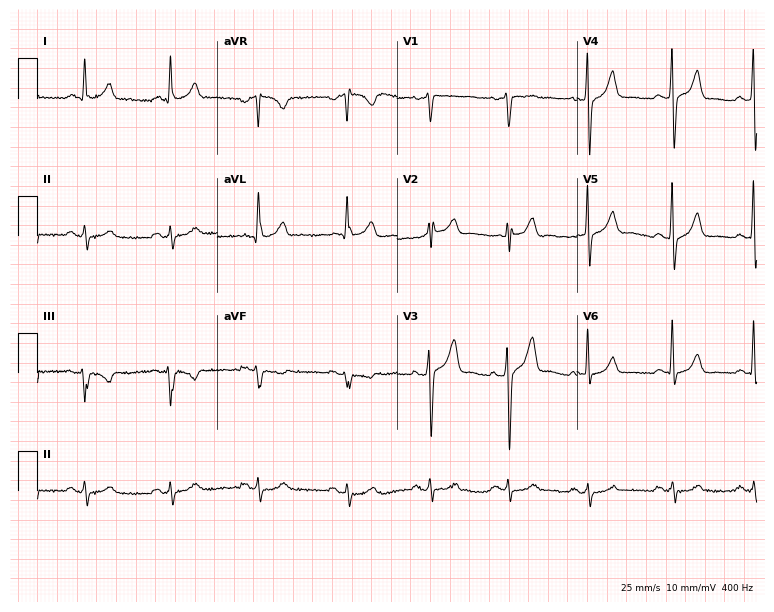
ECG — a male, 43 years old. Screened for six findings — first-degree AV block, right bundle branch block, left bundle branch block, sinus bradycardia, atrial fibrillation, sinus tachycardia — none is recorded. Findings outside these six are not listed.